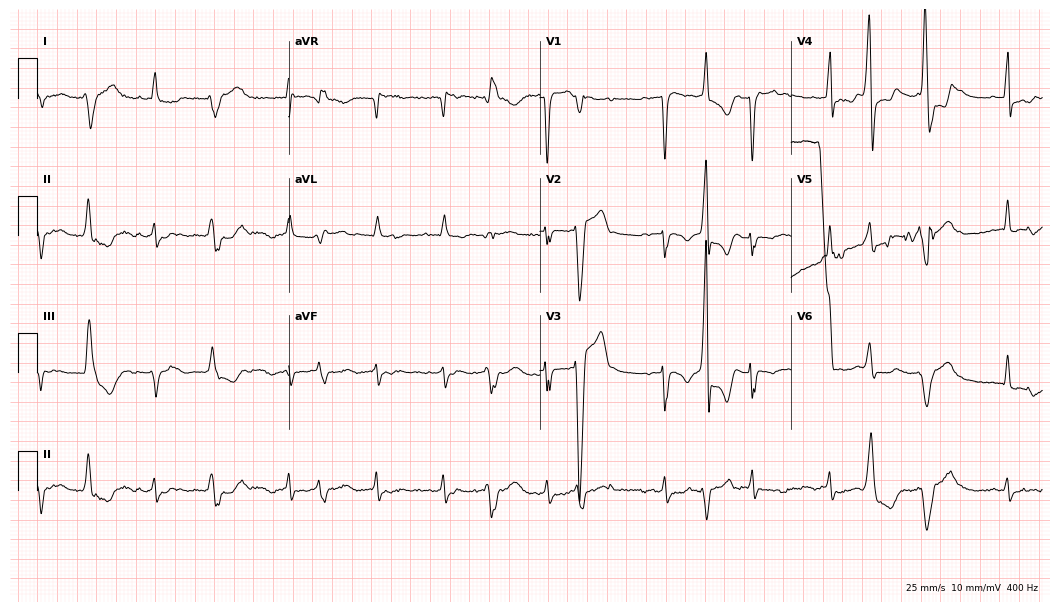
Resting 12-lead electrocardiogram. Patient: a male, 84 years old. The tracing shows atrial fibrillation.